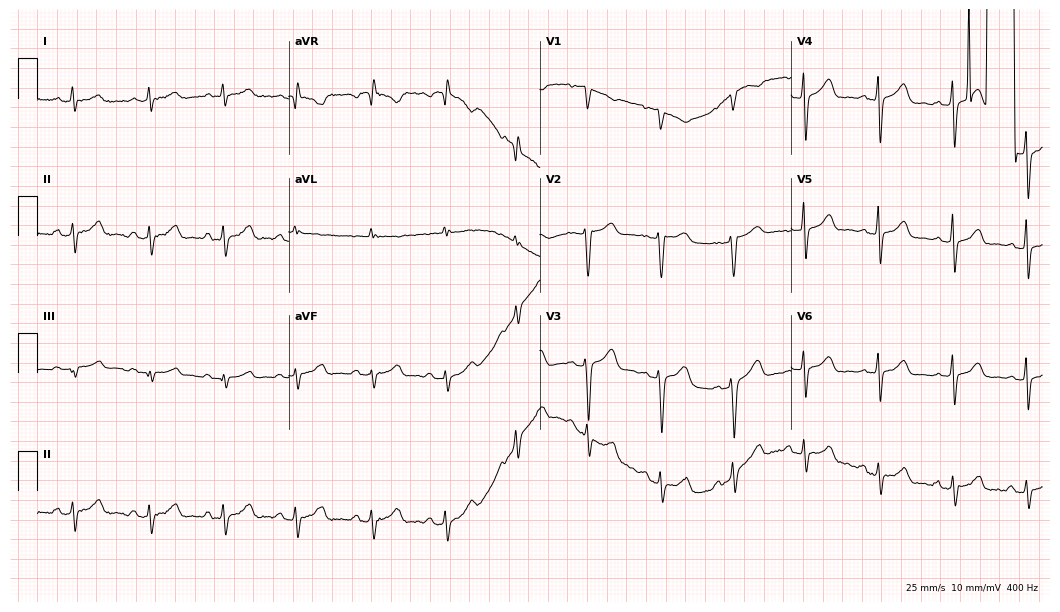
ECG — a female patient, 29 years old. Screened for six findings — first-degree AV block, right bundle branch block, left bundle branch block, sinus bradycardia, atrial fibrillation, sinus tachycardia — none is recorded.